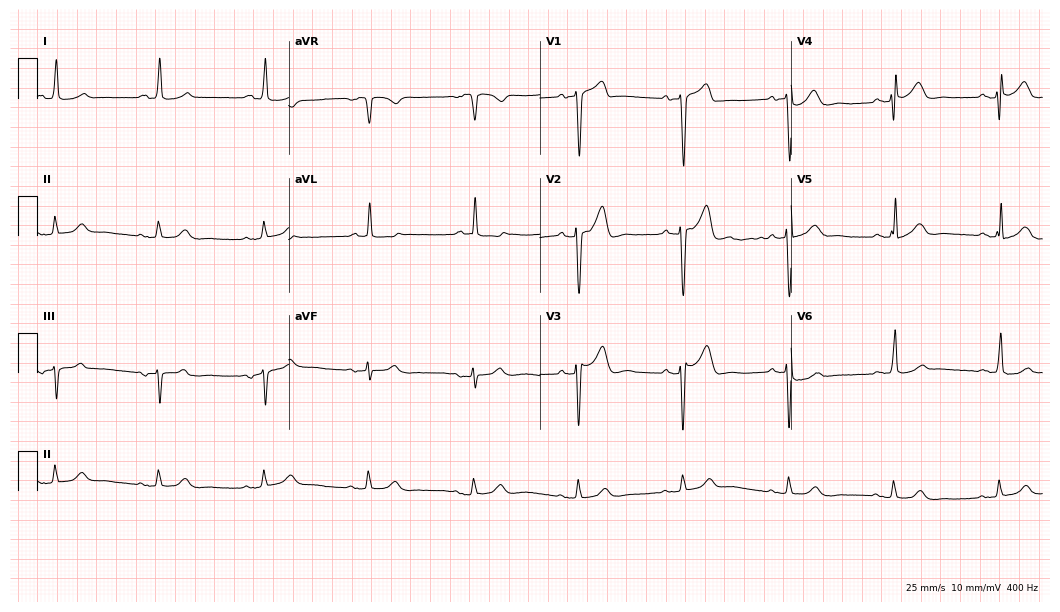
Resting 12-lead electrocardiogram (10.2-second recording at 400 Hz). Patient: a 70-year-old male. None of these six findings is recorded: first-degree AV block, right bundle branch block (RBBB), left bundle branch block (LBBB), sinus bradycardia, atrial fibrillation (AF), sinus tachycardia. Findings outside these six are not listed.